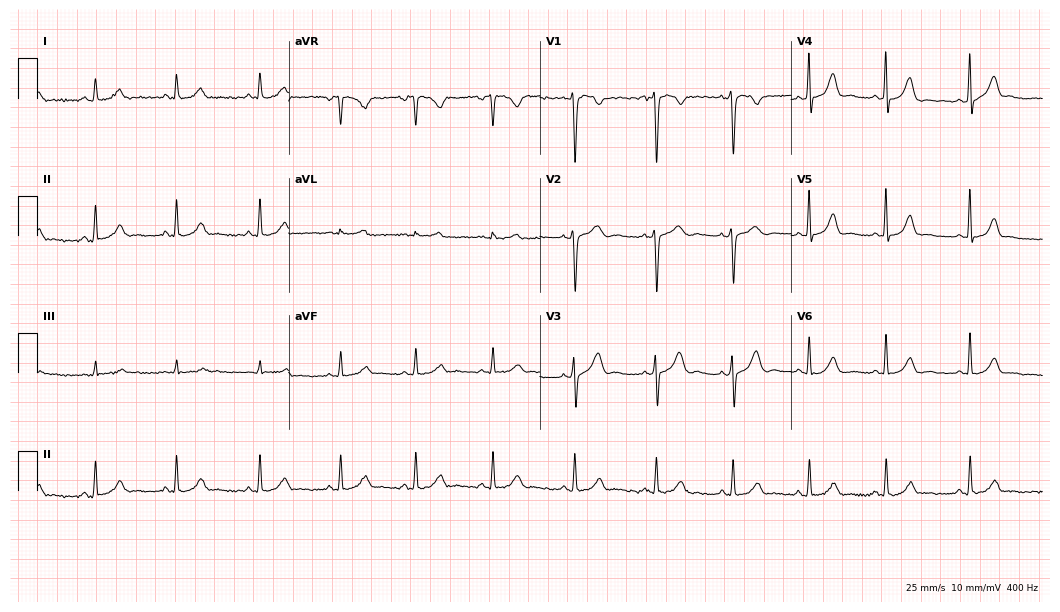
12-lead ECG from a 25-year-old woman. Labelled as a normal ECG.